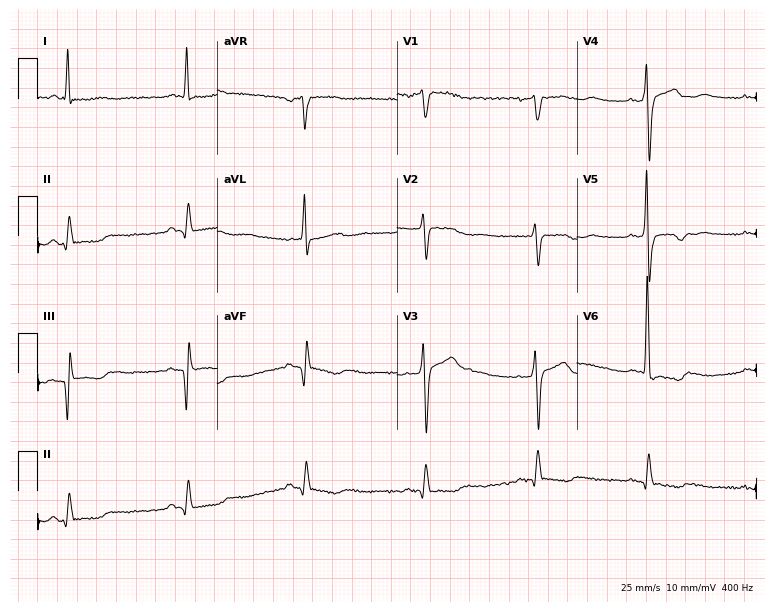
12-lead ECG from a 78-year-old woman. Screened for six findings — first-degree AV block, right bundle branch block, left bundle branch block, sinus bradycardia, atrial fibrillation, sinus tachycardia — none is recorded. Findings outside these six are not listed.